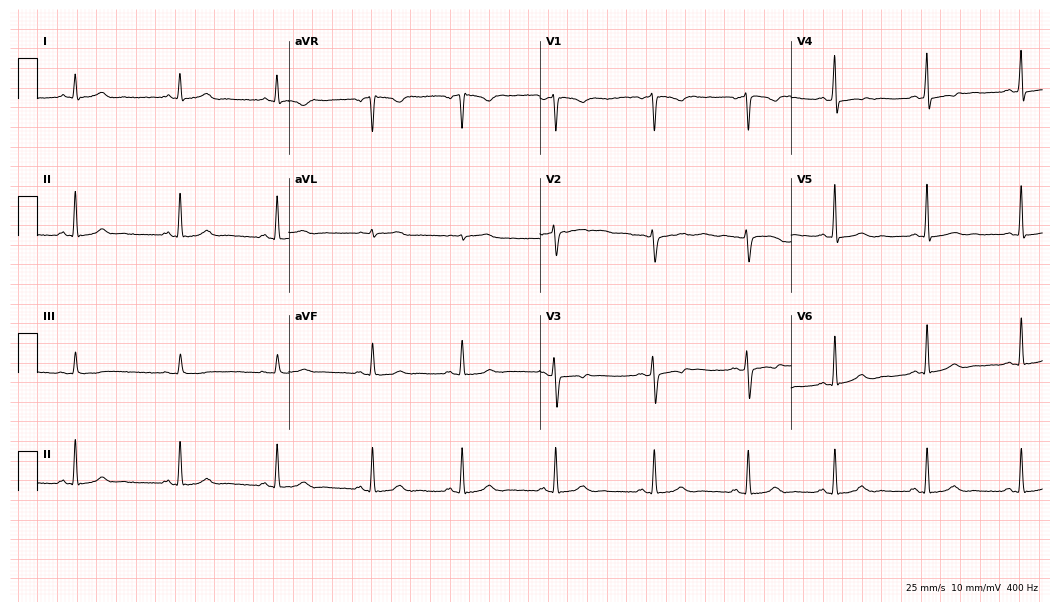
Electrocardiogram, a female patient, 39 years old. Of the six screened findings (first-degree AV block, right bundle branch block, left bundle branch block, sinus bradycardia, atrial fibrillation, sinus tachycardia), none is recorded. Other findings, if any, are not listed.